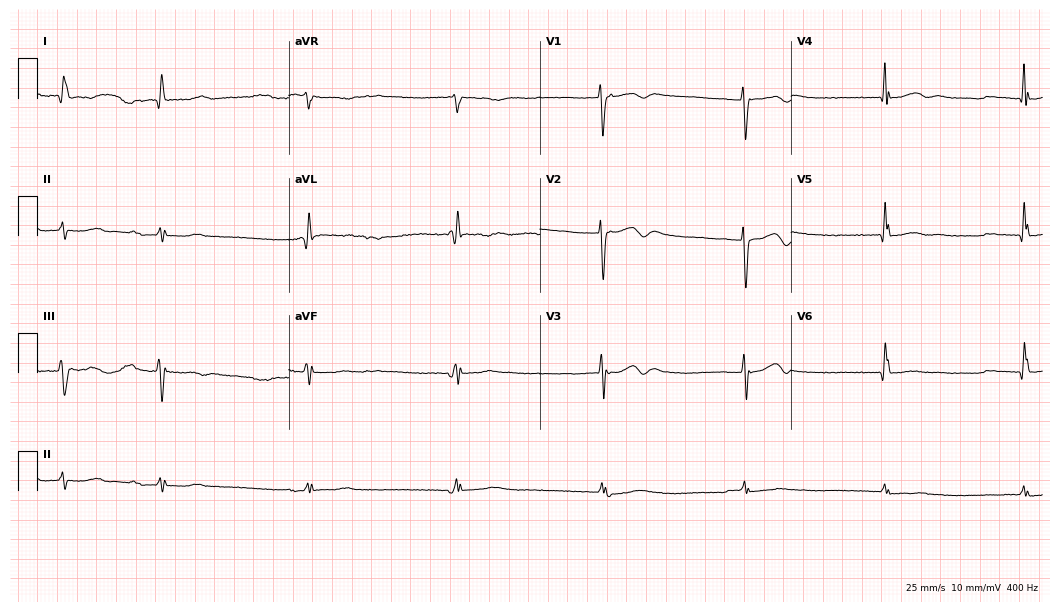
12-lead ECG from a 77-year-old female (10.2-second recording at 400 Hz). No first-degree AV block, right bundle branch block, left bundle branch block, sinus bradycardia, atrial fibrillation or sinus tachycardia recorded for this tracing. Other findings, if any, are not listed.